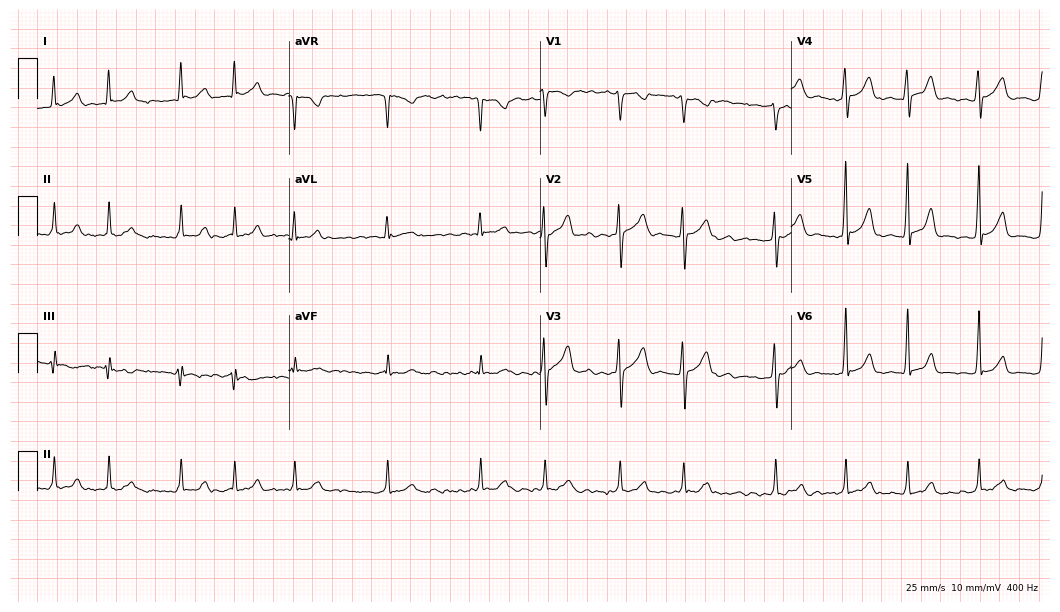
ECG (10.2-second recording at 400 Hz) — a female, 33 years old. Findings include atrial fibrillation (AF).